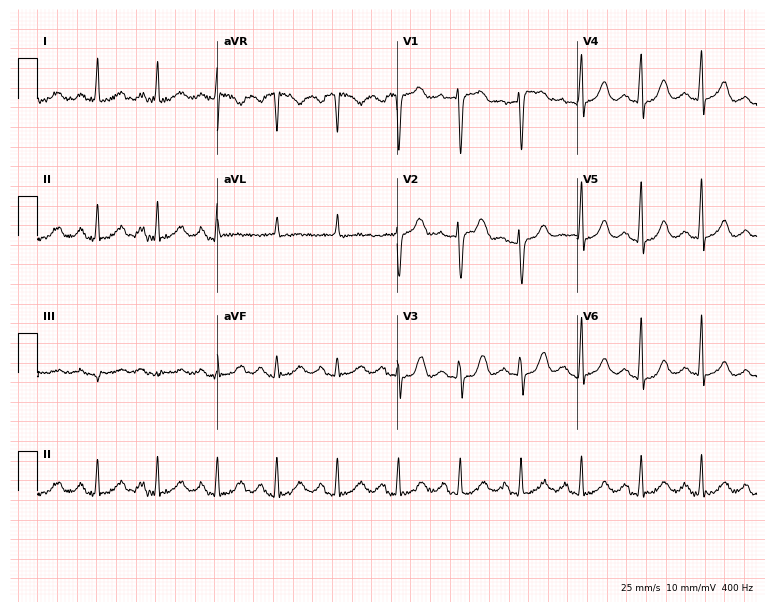
Standard 12-lead ECG recorded from a woman, 49 years old (7.3-second recording at 400 Hz). Read as a normal ECG.